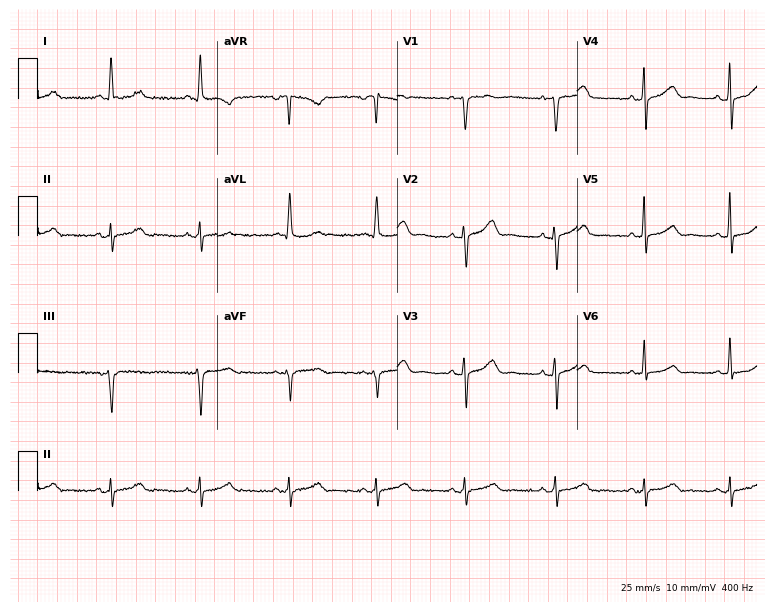
Standard 12-lead ECG recorded from a female patient, 65 years old. Read as a normal ECG.